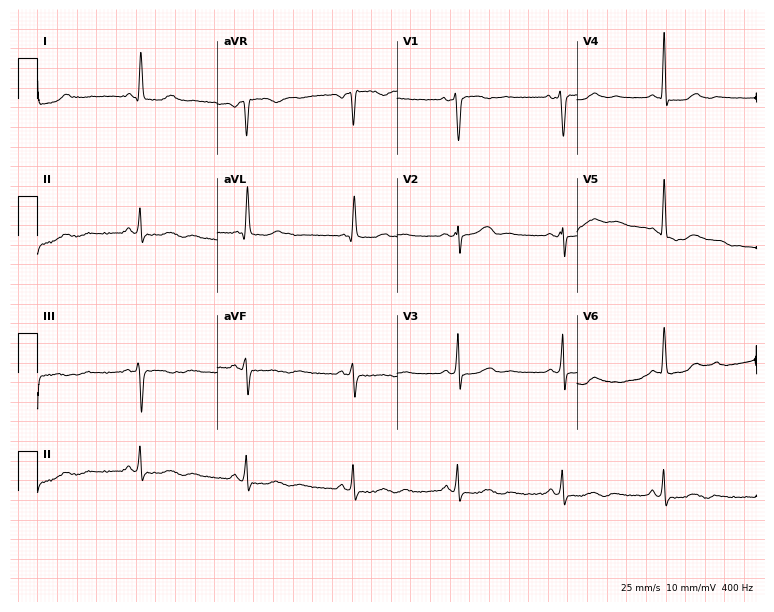
Standard 12-lead ECG recorded from a woman, 49 years old (7.3-second recording at 400 Hz). None of these six findings is recorded: first-degree AV block, right bundle branch block, left bundle branch block, sinus bradycardia, atrial fibrillation, sinus tachycardia. Findings outside these six are not listed.